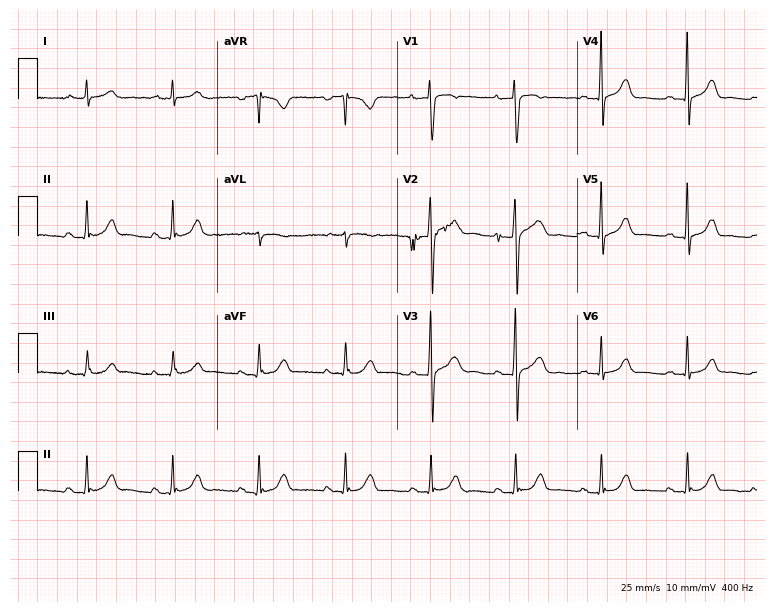
12-lead ECG from a 57-year-old man. Recorded interpretation: within normal limits.